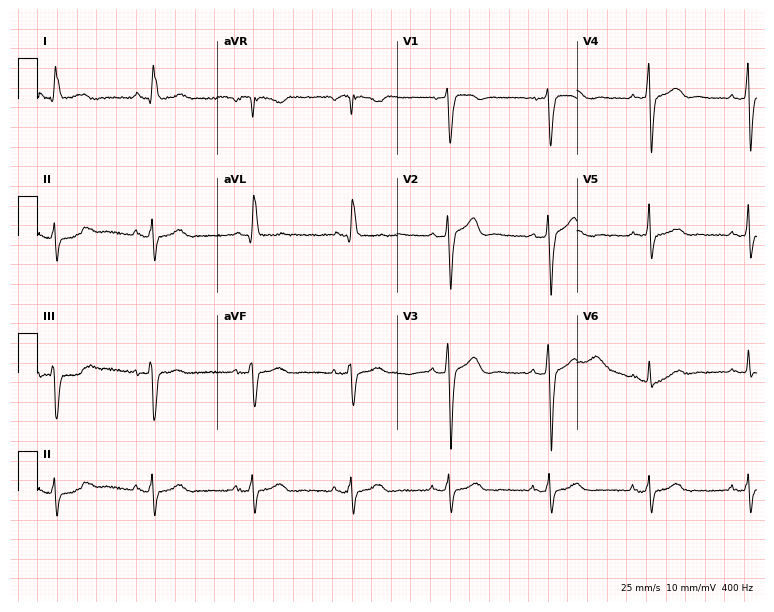
ECG — a male, 56 years old. Screened for six findings — first-degree AV block, right bundle branch block (RBBB), left bundle branch block (LBBB), sinus bradycardia, atrial fibrillation (AF), sinus tachycardia — none is recorded.